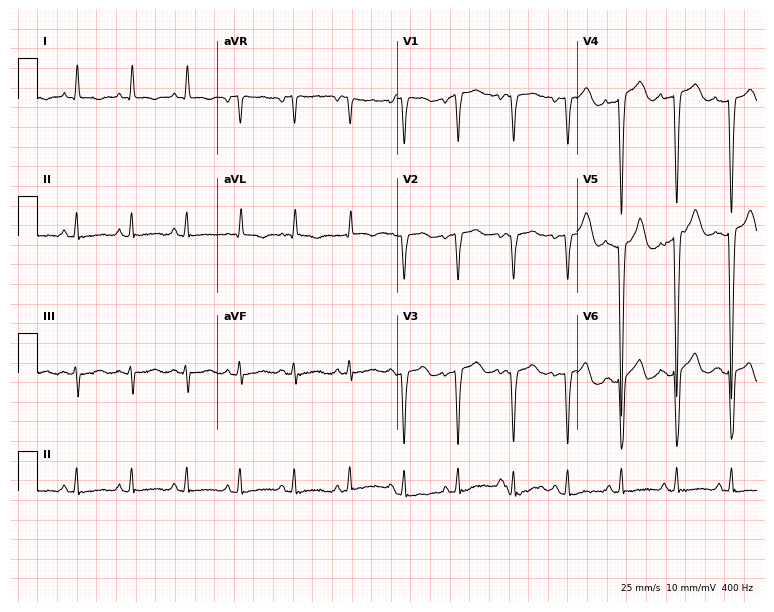
12-lead ECG (7.3-second recording at 400 Hz) from a 78-year-old male patient. Findings include sinus tachycardia (a sinus rate of 100 beats per minute or more).